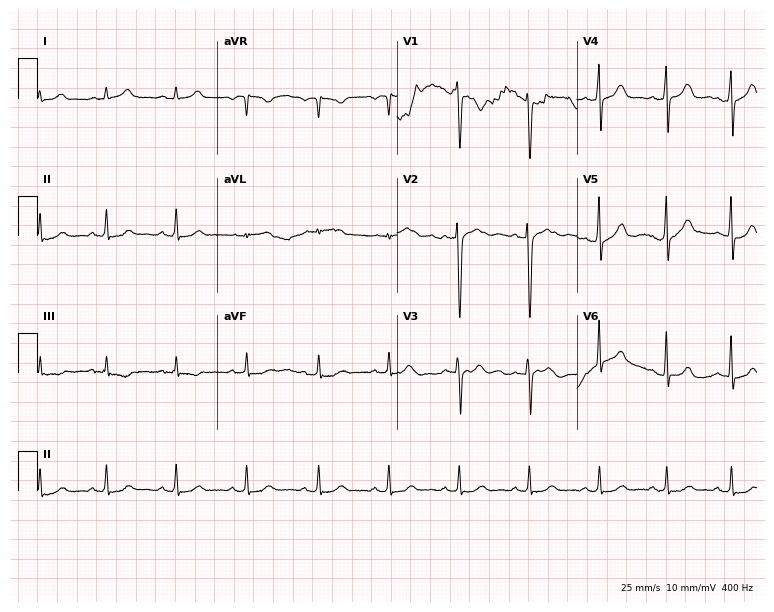
Standard 12-lead ECG recorded from a female patient, 31 years old (7.3-second recording at 400 Hz). Read as a normal ECG.